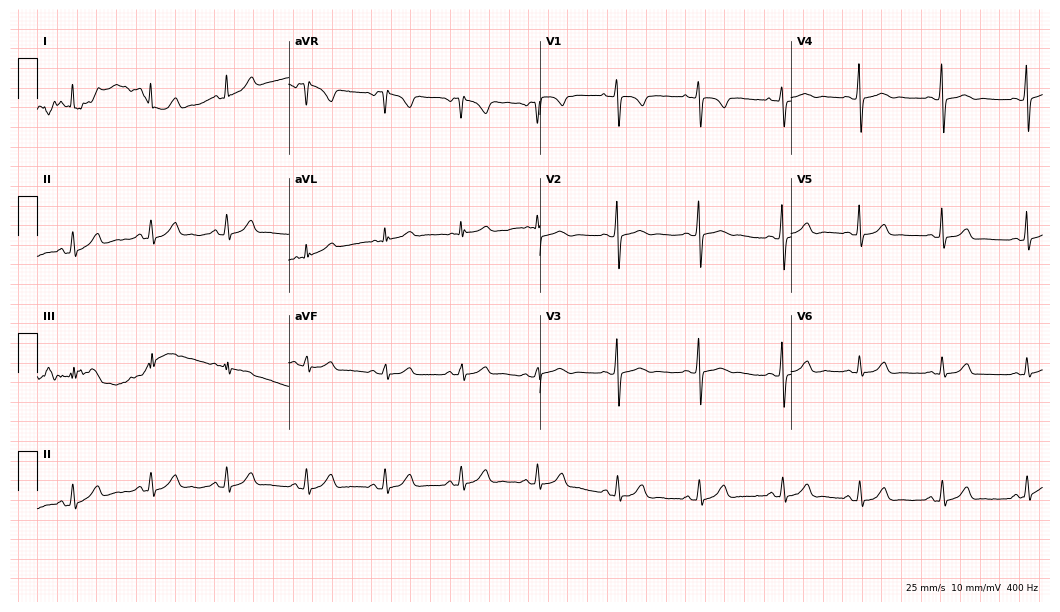
12-lead ECG from an 18-year-old woman. Labelled as a normal ECG.